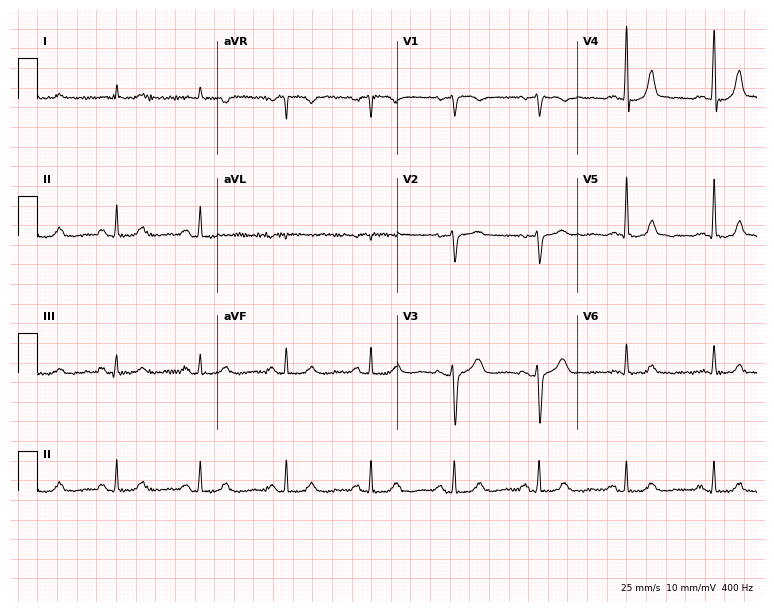
ECG — a female, 66 years old. Labelled as a normal ECG.